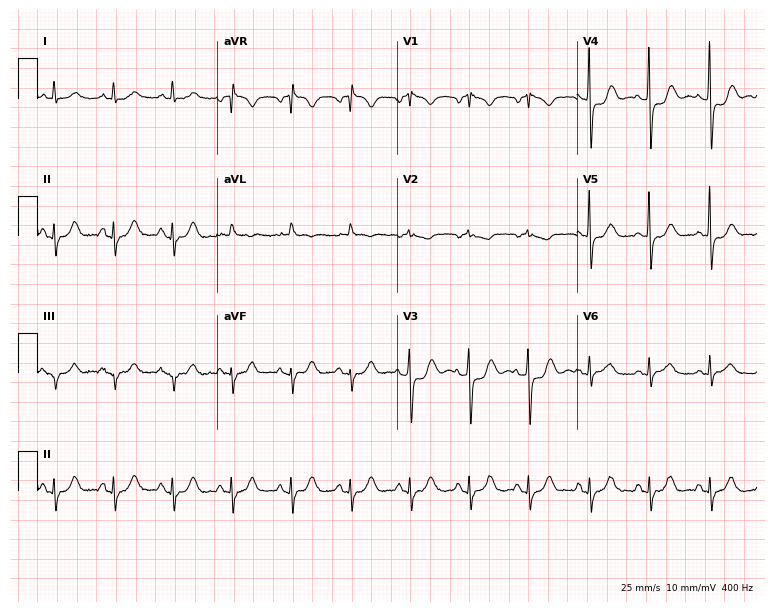
Resting 12-lead electrocardiogram (7.3-second recording at 400 Hz). Patient: a woman, 82 years old. None of these six findings is recorded: first-degree AV block, right bundle branch block, left bundle branch block, sinus bradycardia, atrial fibrillation, sinus tachycardia. Findings outside these six are not listed.